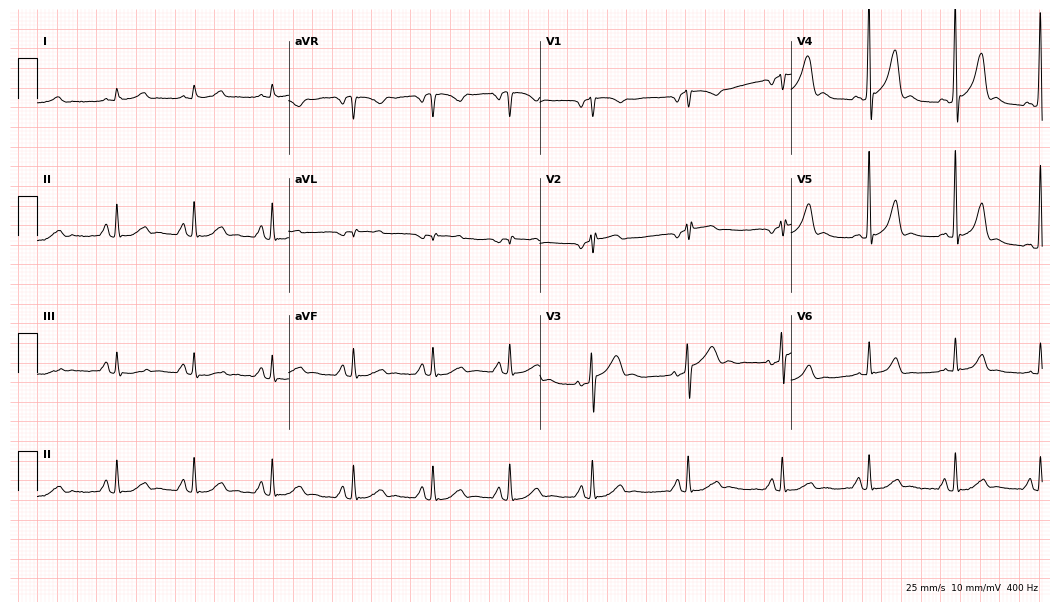
12-lead ECG (10.2-second recording at 400 Hz) from a 63-year-old male. Labelled as a normal ECG.